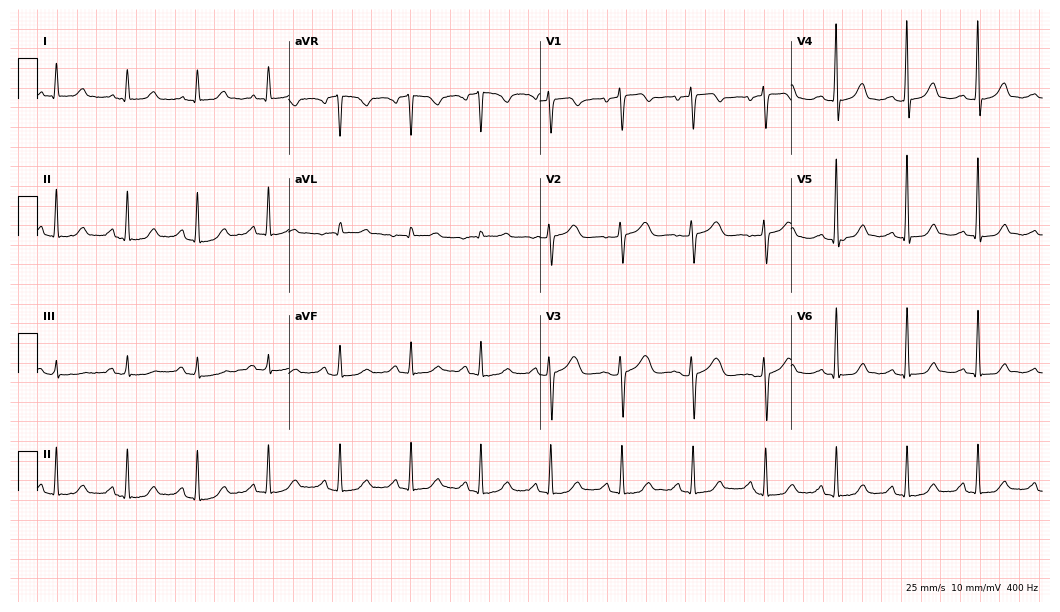
Resting 12-lead electrocardiogram (10.2-second recording at 400 Hz). Patient: a woman, 53 years old. None of these six findings is recorded: first-degree AV block, right bundle branch block, left bundle branch block, sinus bradycardia, atrial fibrillation, sinus tachycardia.